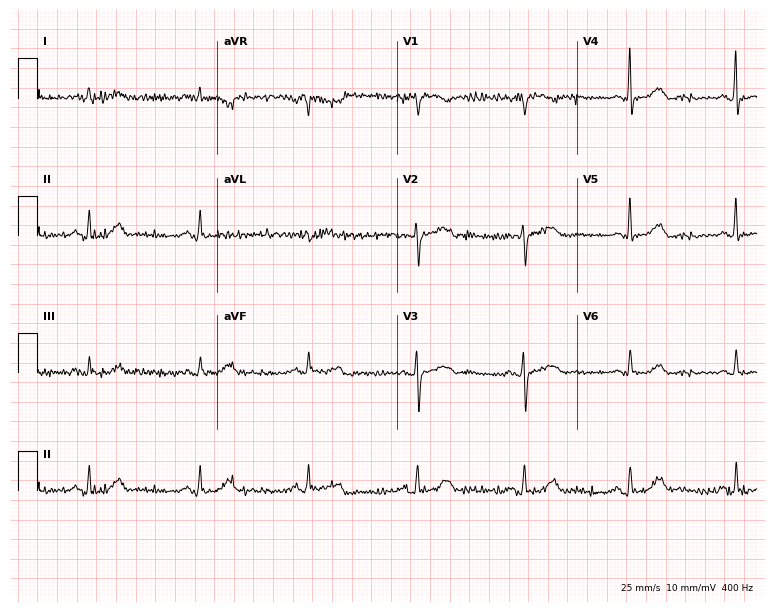
Standard 12-lead ECG recorded from a female patient, 69 years old. None of these six findings is recorded: first-degree AV block, right bundle branch block, left bundle branch block, sinus bradycardia, atrial fibrillation, sinus tachycardia. Only these six findings were labelled.